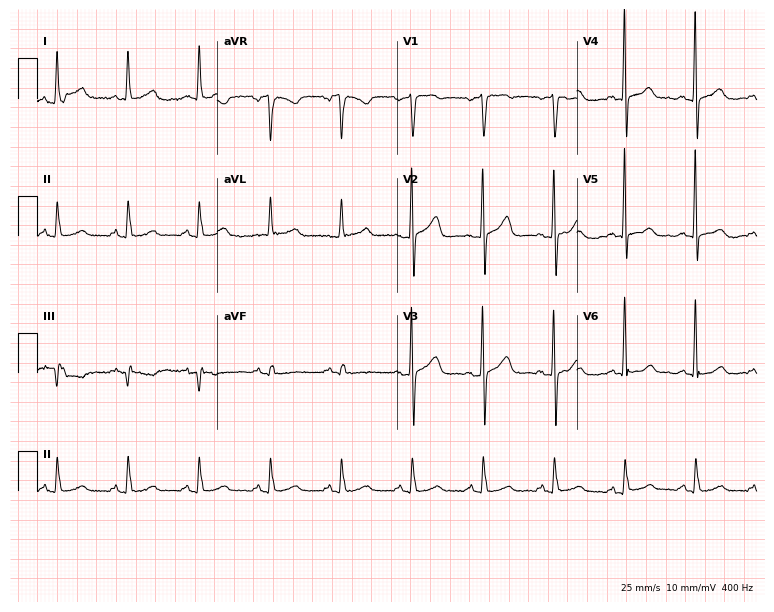
Standard 12-lead ECG recorded from a female, 80 years old. None of these six findings is recorded: first-degree AV block, right bundle branch block (RBBB), left bundle branch block (LBBB), sinus bradycardia, atrial fibrillation (AF), sinus tachycardia. Other findings, if any, are not listed.